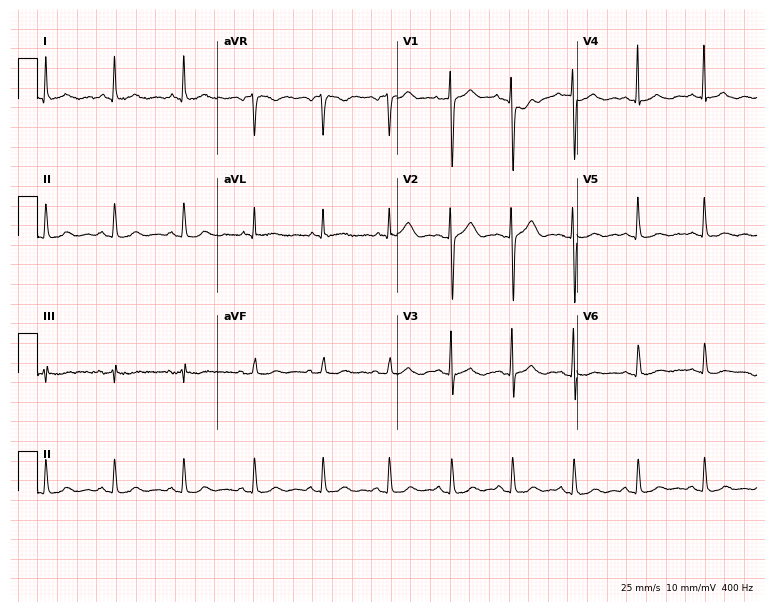
Resting 12-lead electrocardiogram. Patient: a woman, 77 years old. Read as a normal ECG.